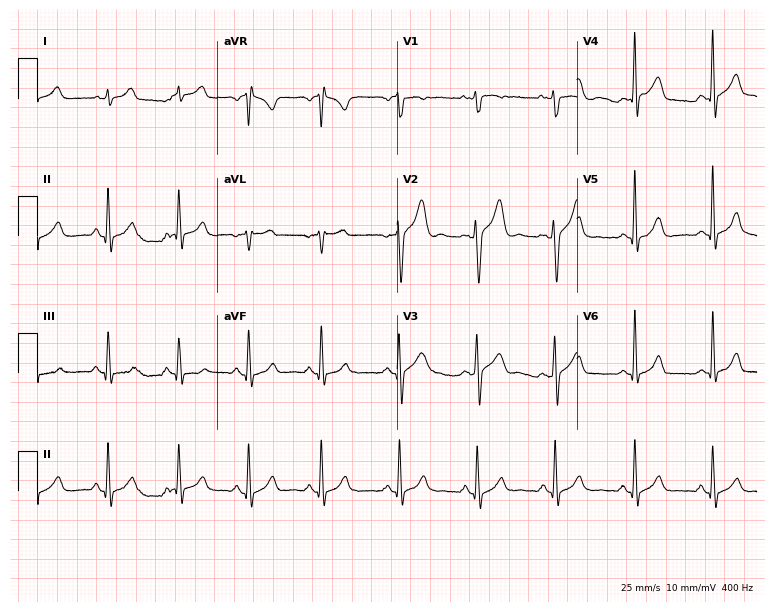
ECG (7.3-second recording at 400 Hz) — a 33-year-old man. Screened for six findings — first-degree AV block, right bundle branch block, left bundle branch block, sinus bradycardia, atrial fibrillation, sinus tachycardia — none is recorded.